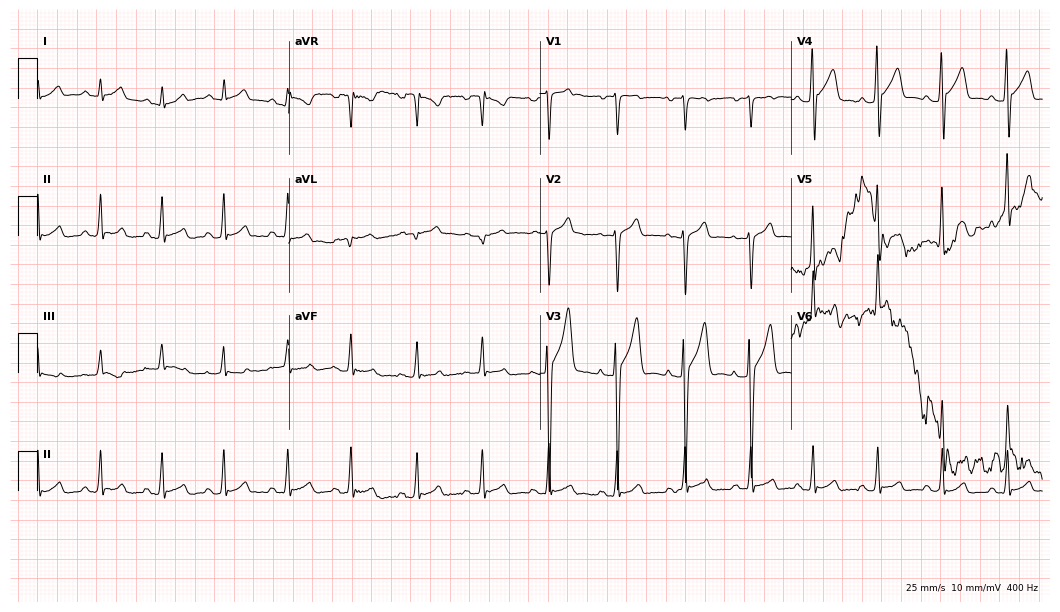
12-lead ECG from a female patient, 18 years old. Recorded interpretation: within normal limits.